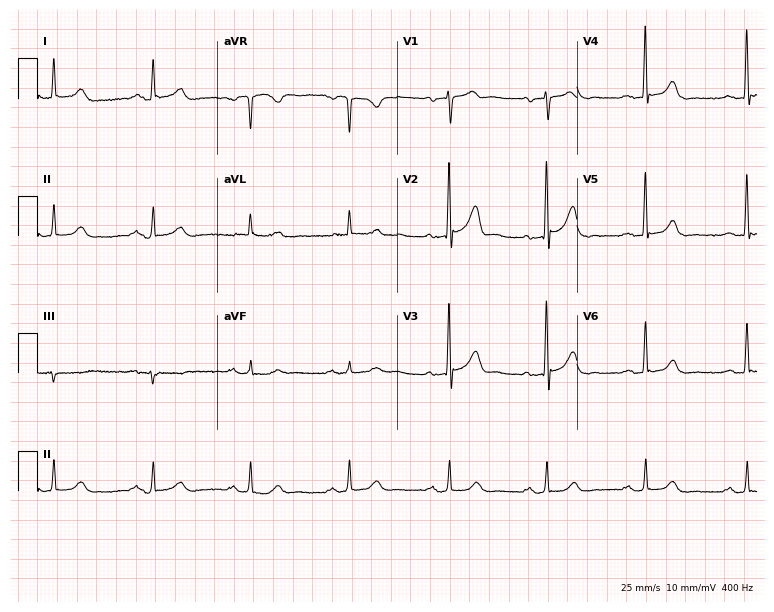
ECG (7.3-second recording at 400 Hz) — a man, 67 years old. Labelled as a normal ECG.